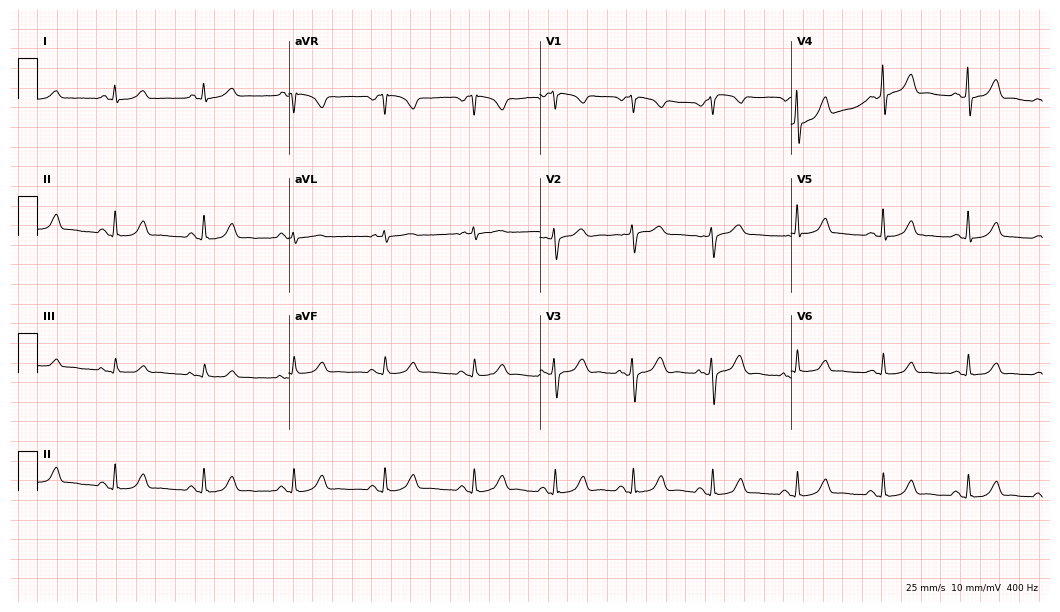
12-lead ECG from a female, 42 years old. No first-degree AV block, right bundle branch block, left bundle branch block, sinus bradycardia, atrial fibrillation or sinus tachycardia recorded for this tracing.